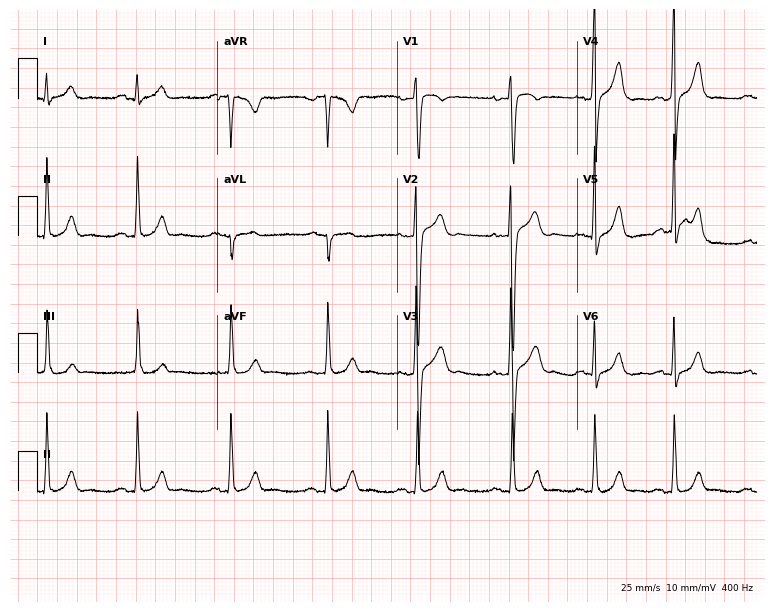
Resting 12-lead electrocardiogram (7.3-second recording at 400 Hz). Patient: a 27-year-old man. Read as a normal ECG.